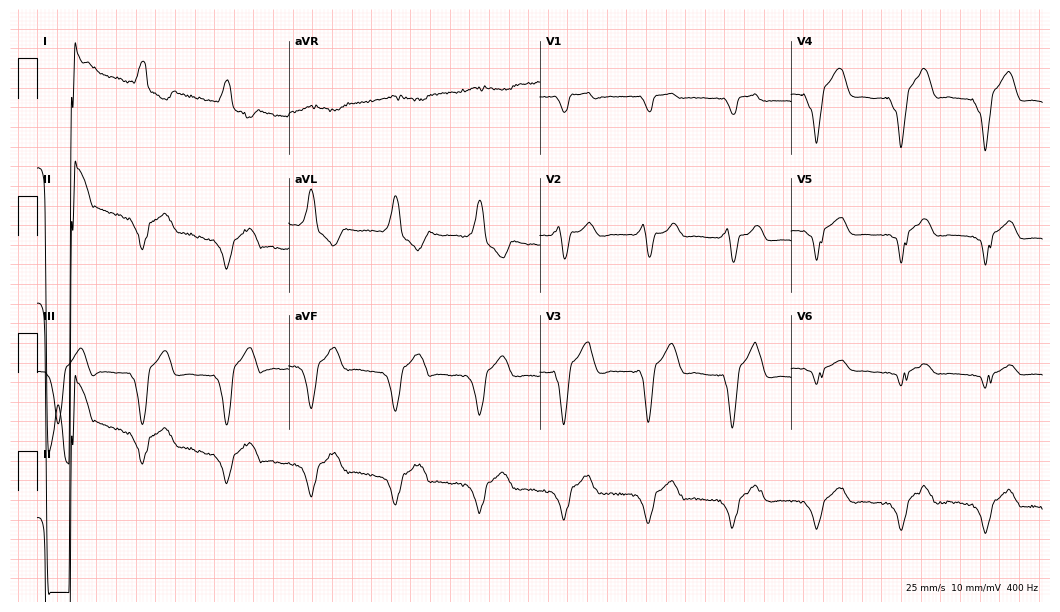
12-lead ECG from a 43-year-old female patient. Screened for six findings — first-degree AV block, right bundle branch block, left bundle branch block, sinus bradycardia, atrial fibrillation, sinus tachycardia — none is recorded.